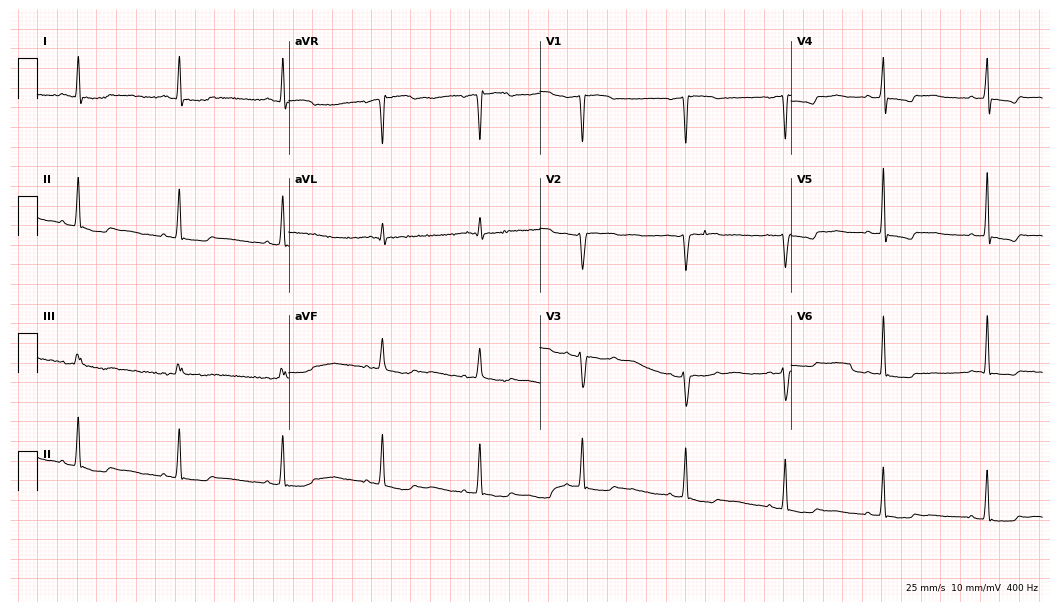
Resting 12-lead electrocardiogram (10.2-second recording at 400 Hz). Patient: a 57-year-old woman. None of these six findings is recorded: first-degree AV block, right bundle branch block (RBBB), left bundle branch block (LBBB), sinus bradycardia, atrial fibrillation (AF), sinus tachycardia. Other findings, if any, are not listed.